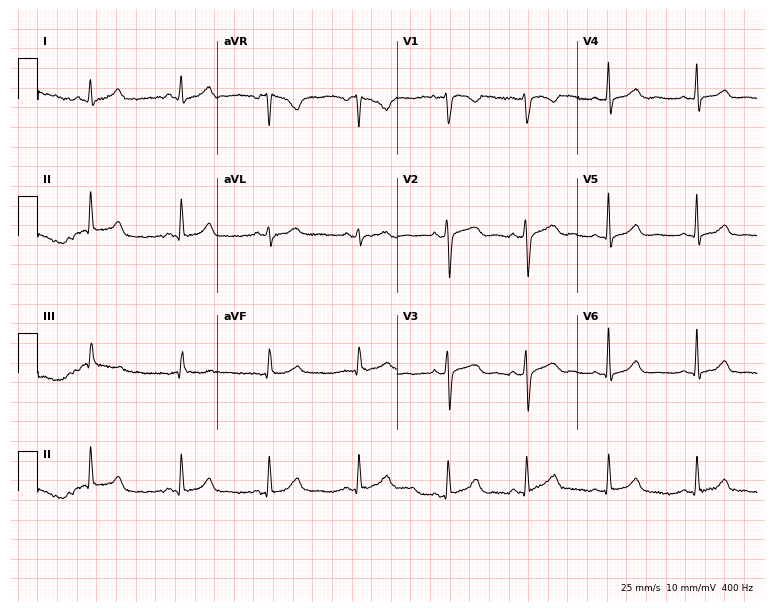
12-lead ECG from a 28-year-old woman (7.3-second recording at 400 Hz). No first-degree AV block, right bundle branch block, left bundle branch block, sinus bradycardia, atrial fibrillation or sinus tachycardia recorded for this tracing.